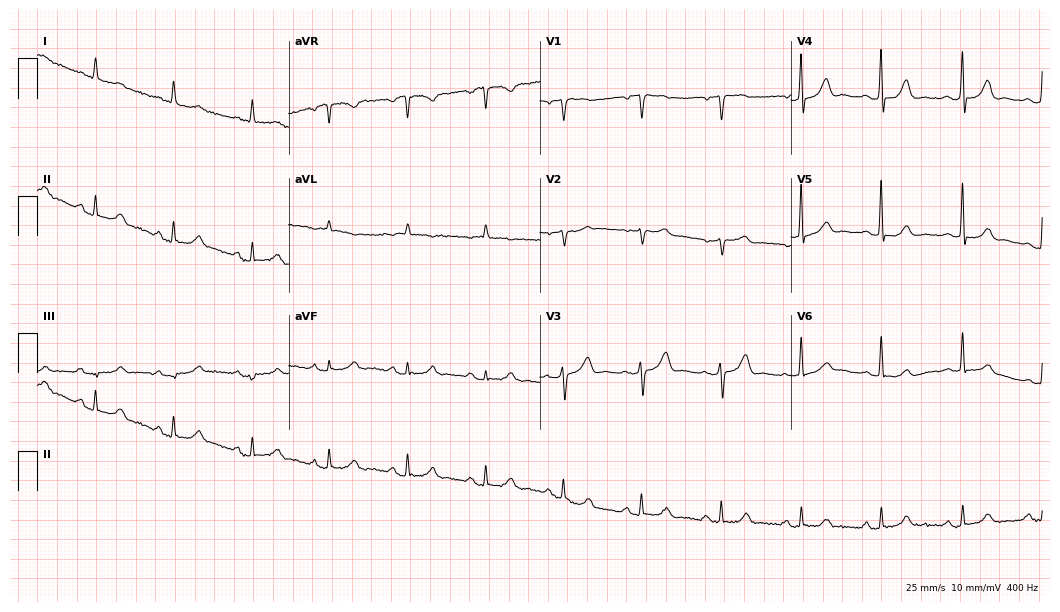
Standard 12-lead ECG recorded from a 77-year-old female patient. Read as a normal ECG.